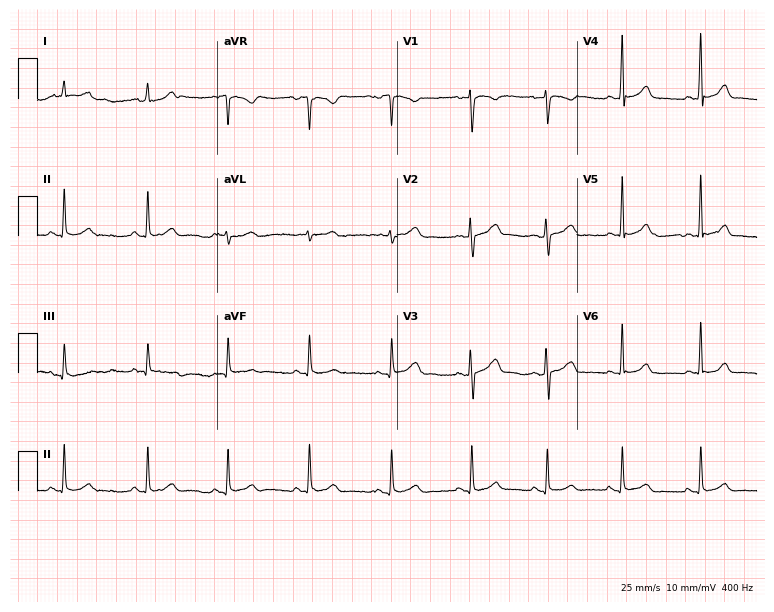
Electrocardiogram, a female, 28 years old. Overall reading on record: normal ECG.